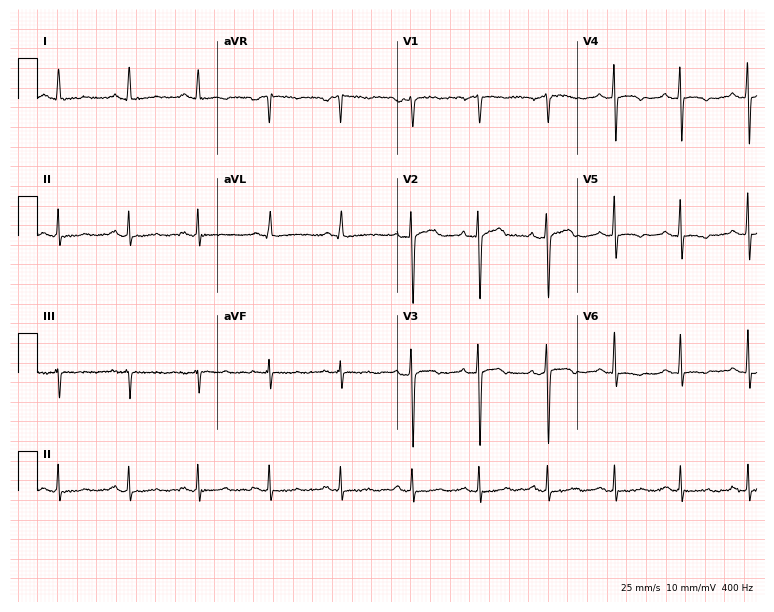
12-lead ECG from a female, 56 years old. Screened for six findings — first-degree AV block, right bundle branch block, left bundle branch block, sinus bradycardia, atrial fibrillation, sinus tachycardia — none is recorded. Other findings, if any, are not listed.